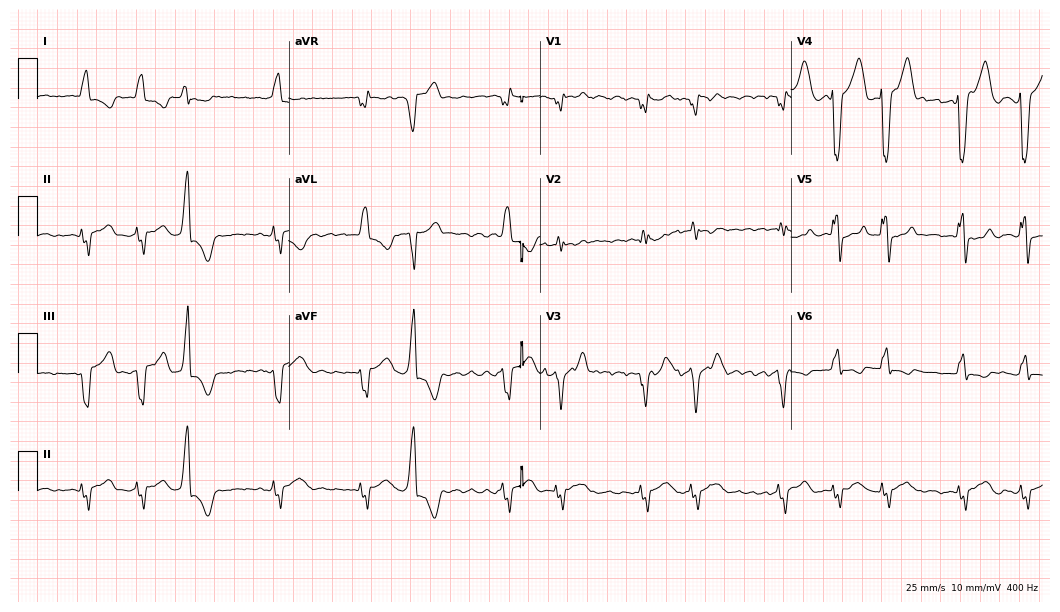
Electrocardiogram (10.2-second recording at 400 Hz), a 62-year-old female. Interpretation includes left bundle branch block, atrial fibrillation.